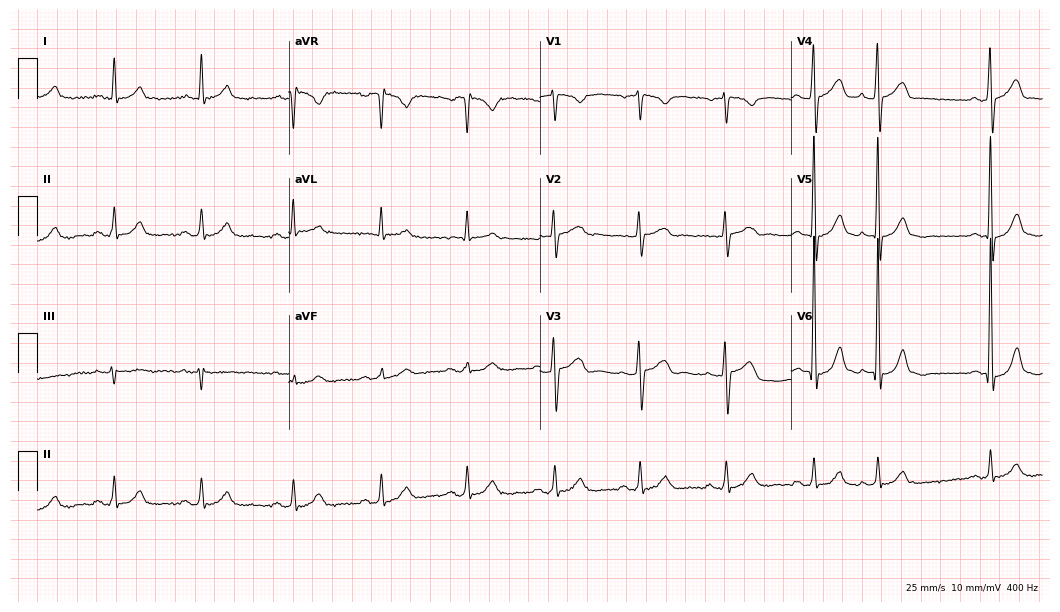
12-lead ECG (10.2-second recording at 400 Hz) from a male patient, 67 years old. Screened for six findings — first-degree AV block, right bundle branch block, left bundle branch block, sinus bradycardia, atrial fibrillation, sinus tachycardia — none is recorded. Only these six findings were labelled.